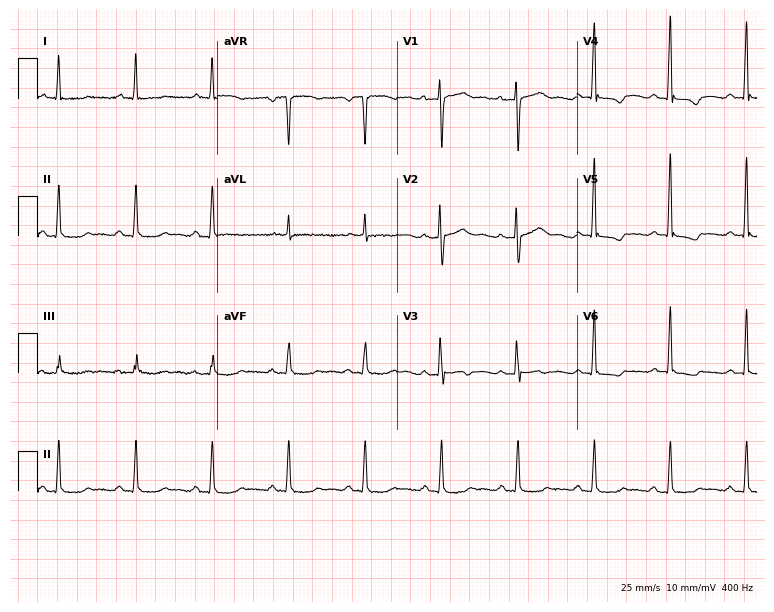
ECG (7.3-second recording at 400 Hz) — a 61-year-old female. Screened for six findings — first-degree AV block, right bundle branch block, left bundle branch block, sinus bradycardia, atrial fibrillation, sinus tachycardia — none is recorded. Only these six findings were labelled.